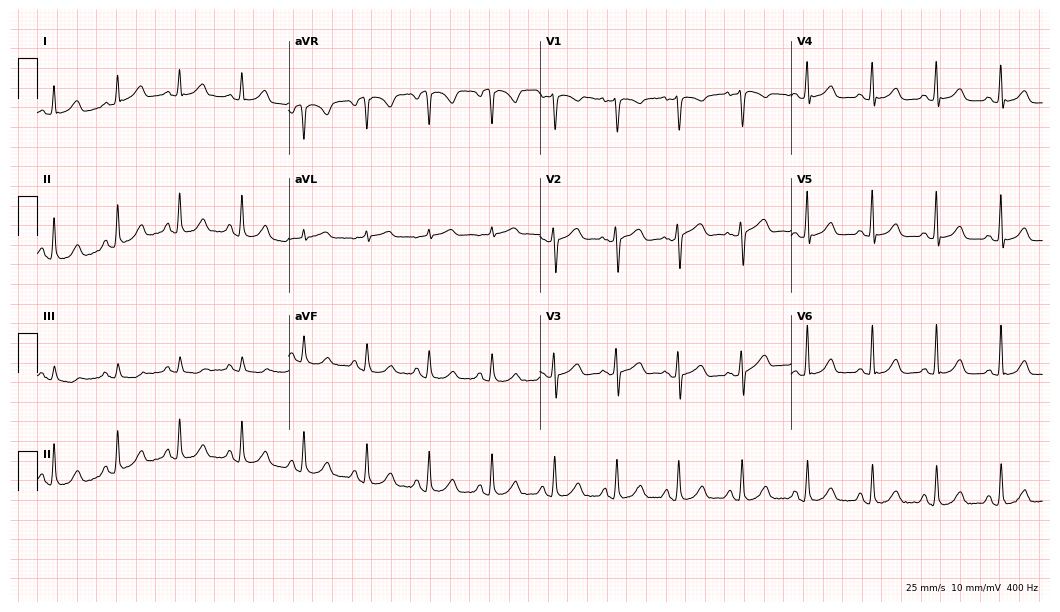
Electrocardiogram, a 56-year-old female patient. Of the six screened findings (first-degree AV block, right bundle branch block, left bundle branch block, sinus bradycardia, atrial fibrillation, sinus tachycardia), none is recorded. Only these six findings were labelled.